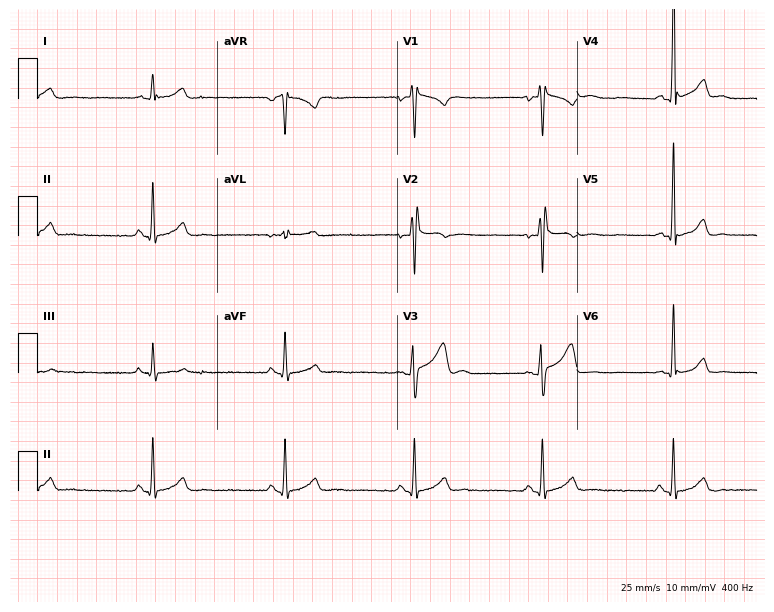
12-lead ECG (7.3-second recording at 400 Hz) from a 24-year-old male. Findings include sinus bradycardia (a sinus rate of 50 beats per minute or less).